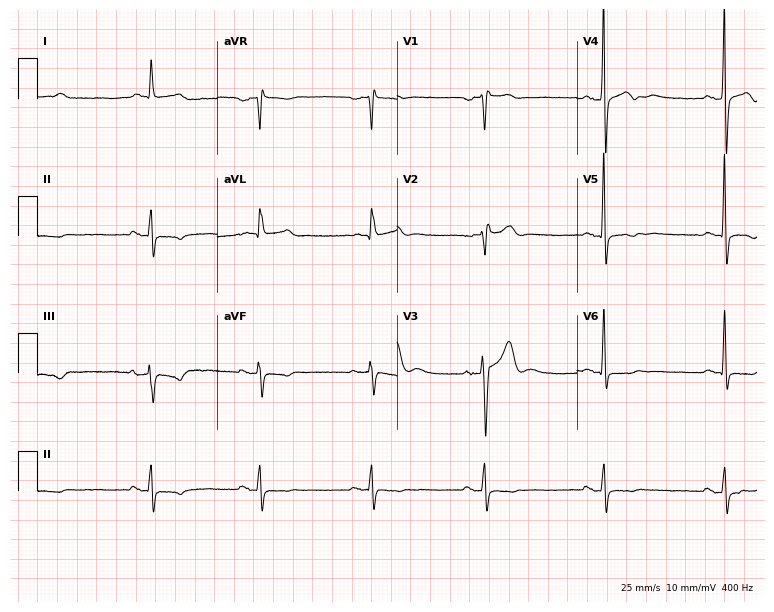
Electrocardiogram, a 61-year-old male patient. Of the six screened findings (first-degree AV block, right bundle branch block (RBBB), left bundle branch block (LBBB), sinus bradycardia, atrial fibrillation (AF), sinus tachycardia), none is recorded. Only these six findings were labelled.